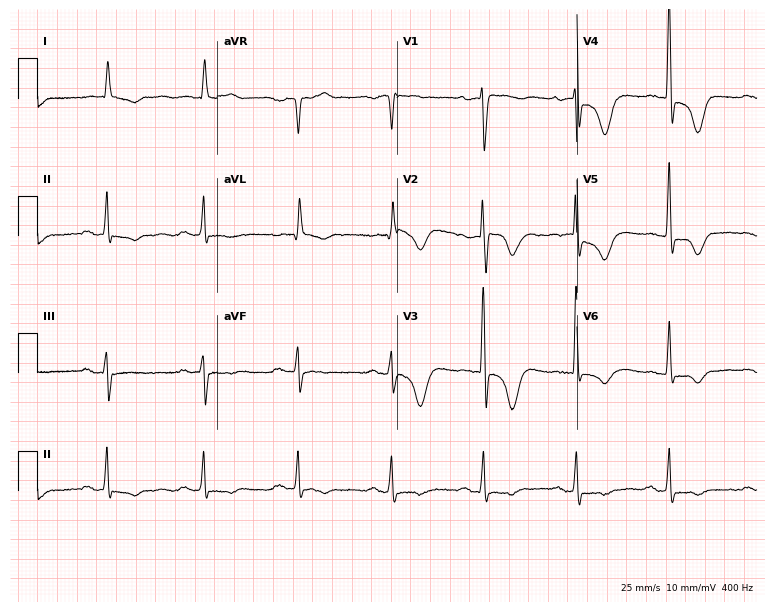
12-lead ECG from a 79-year-old female. Screened for six findings — first-degree AV block, right bundle branch block, left bundle branch block, sinus bradycardia, atrial fibrillation, sinus tachycardia — none is recorded. Other findings, if any, are not listed.